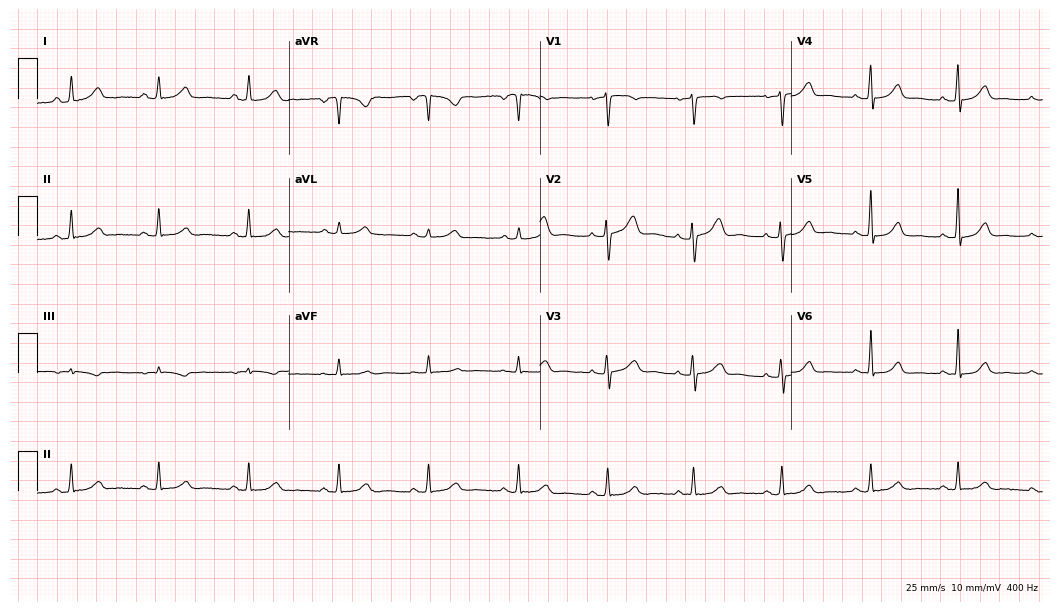
Electrocardiogram, a 45-year-old female patient. Overall reading on record: normal ECG.